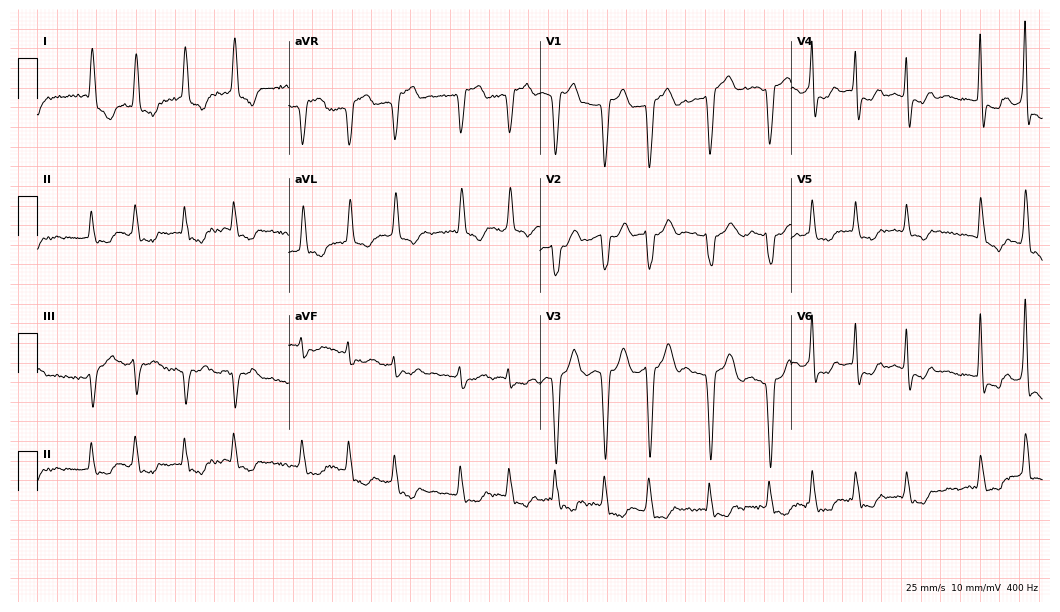
Resting 12-lead electrocardiogram (10.2-second recording at 400 Hz). Patient: a female, 78 years old. None of these six findings is recorded: first-degree AV block, right bundle branch block, left bundle branch block, sinus bradycardia, atrial fibrillation, sinus tachycardia.